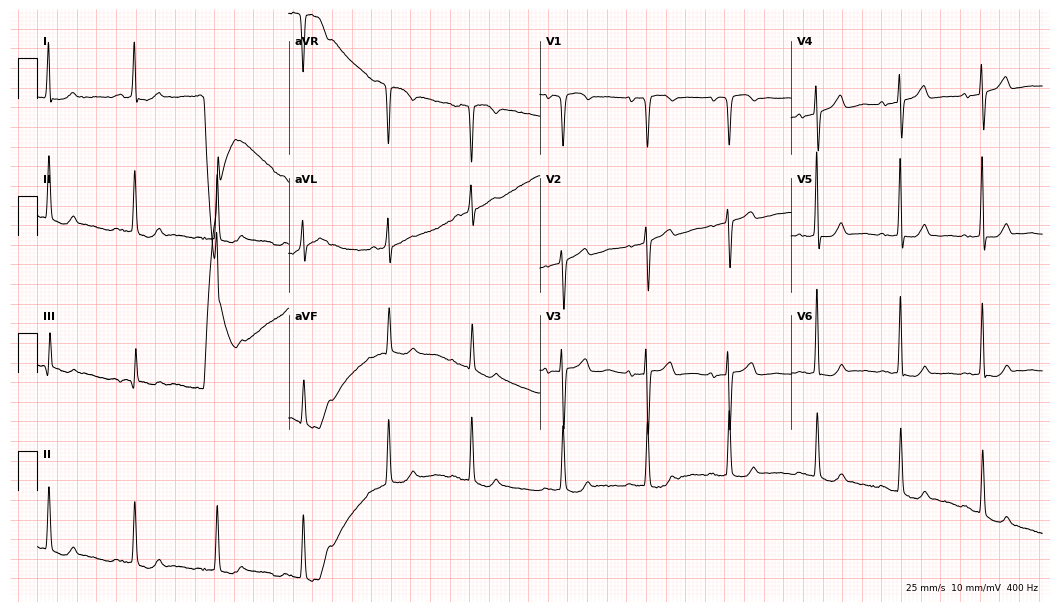
Standard 12-lead ECG recorded from a 77-year-old woman. None of these six findings is recorded: first-degree AV block, right bundle branch block (RBBB), left bundle branch block (LBBB), sinus bradycardia, atrial fibrillation (AF), sinus tachycardia. Only these six findings were labelled.